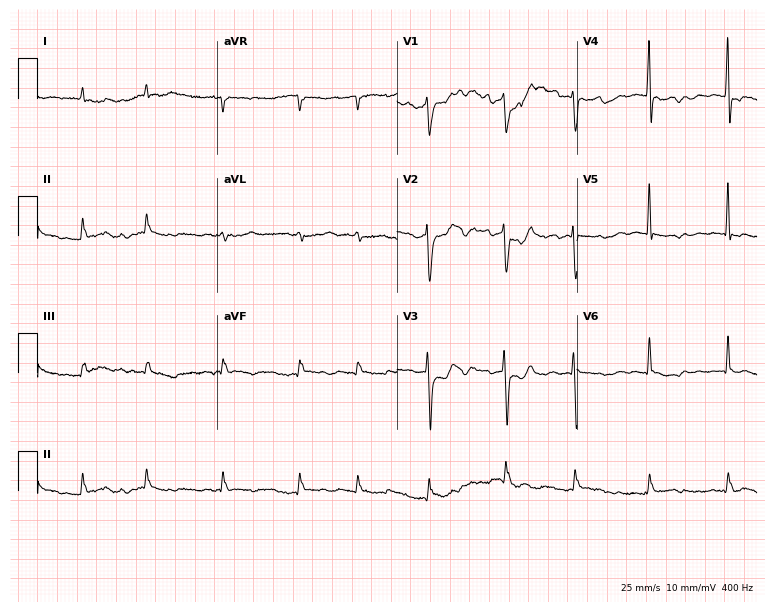
12-lead ECG from a man, 81 years old. Findings include atrial fibrillation.